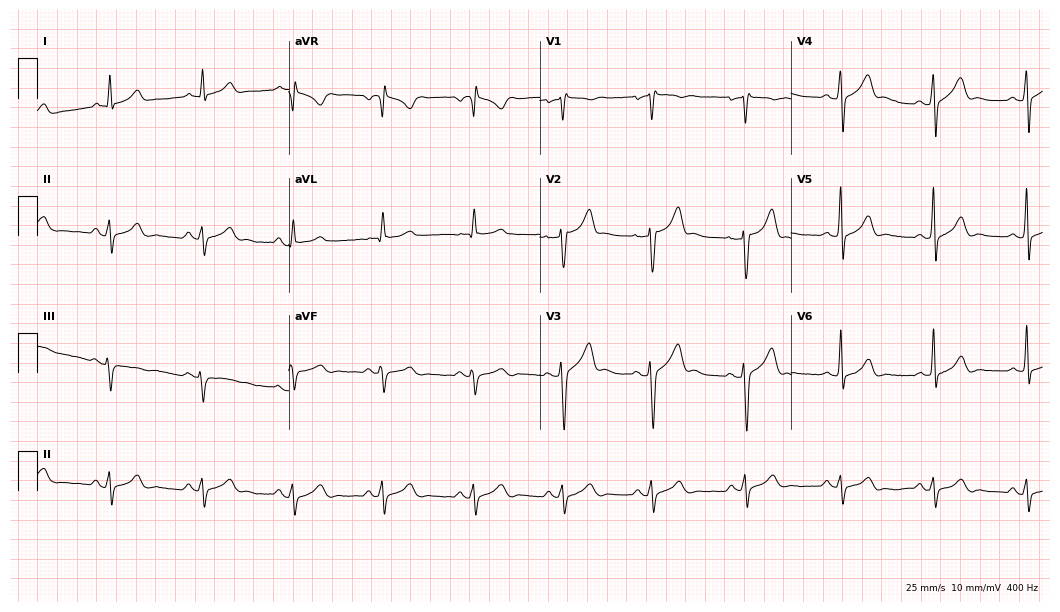
Electrocardiogram, a male patient, 61 years old. Of the six screened findings (first-degree AV block, right bundle branch block (RBBB), left bundle branch block (LBBB), sinus bradycardia, atrial fibrillation (AF), sinus tachycardia), none is recorded.